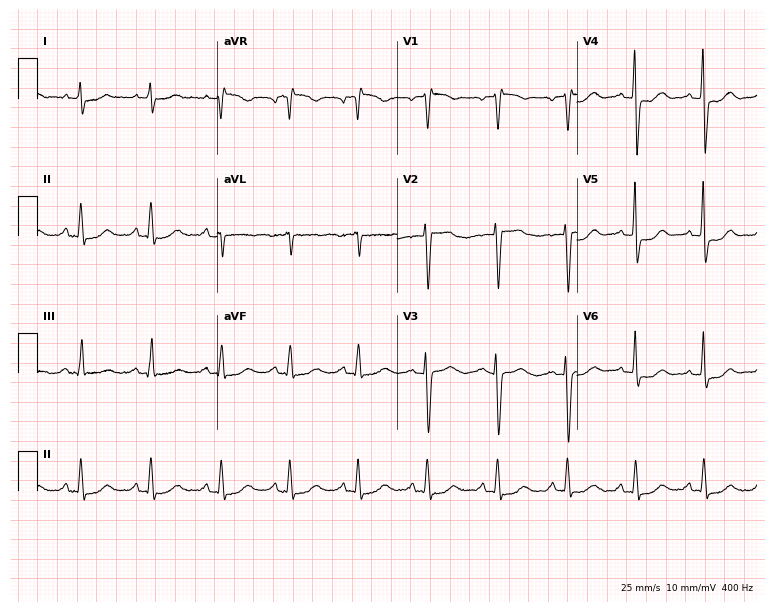
12-lead ECG (7.3-second recording at 400 Hz) from a 79-year-old female. Screened for six findings — first-degree AV block, right bundle branch block (RBBB), left bundle branch block (LBBB), sinus bradycardia, atrial fibrillation (AF), sinus tachycardia — none is recorded. Findings outside these six are not listed.